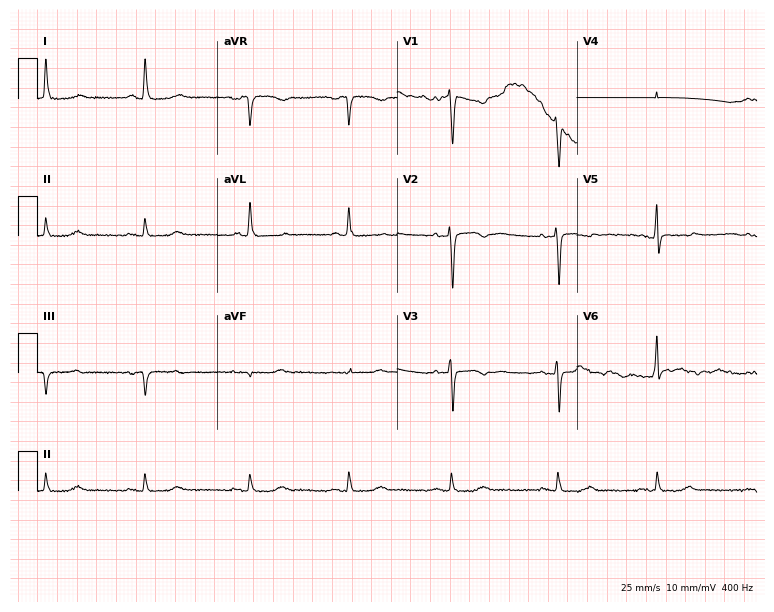
12-lead ECG from a 69-year-old female patient. Screened for six findings — first-degree AV block, right bundle branch block (RBBB), left bundle branch block (LBBB), sinus bradycardia, atrial fibrillation (AF), sinus tachycardia — none is recorded.